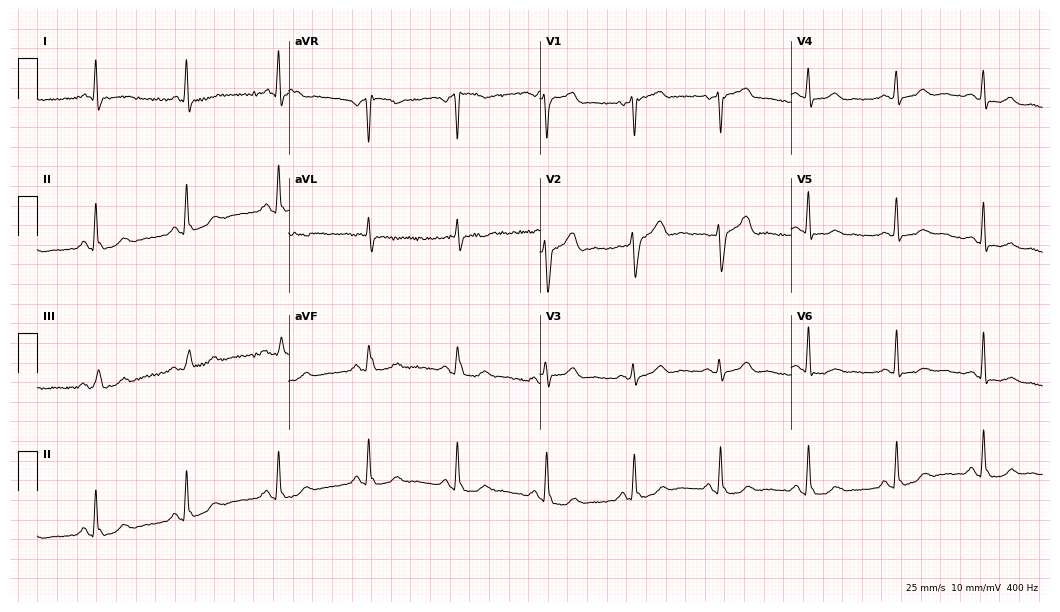
12-lead ECG (10.2-second recording at 400 Hz) from a 67-year-old woman. Screened for six findings — first-degree AV block, right bundle branch block, left bundle branch block, sinus bradycardia, atrial fibrillation, sinus tachycardia — none is recorded.